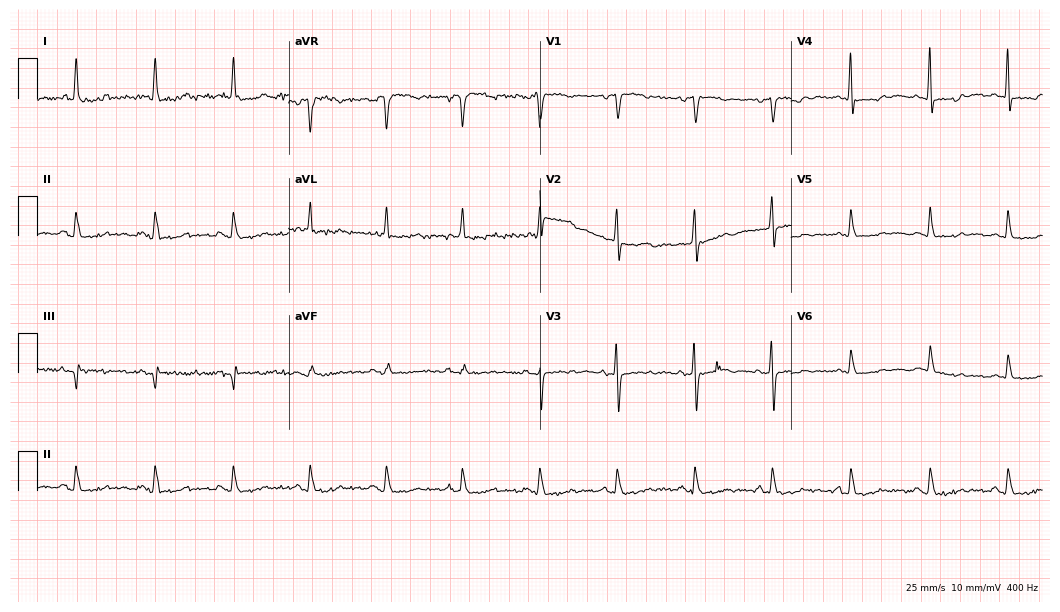
Electrocardiogram (10.2-second recording at 400 Hz), an 81-year-old female. Of the six screened findings (first-degree AV block, right bundle branch block (RBBB), left bundle branch block (LBBB), sinus bradycardia, atrial fibrillation (AF), sinus tachycardia), none is recorded.